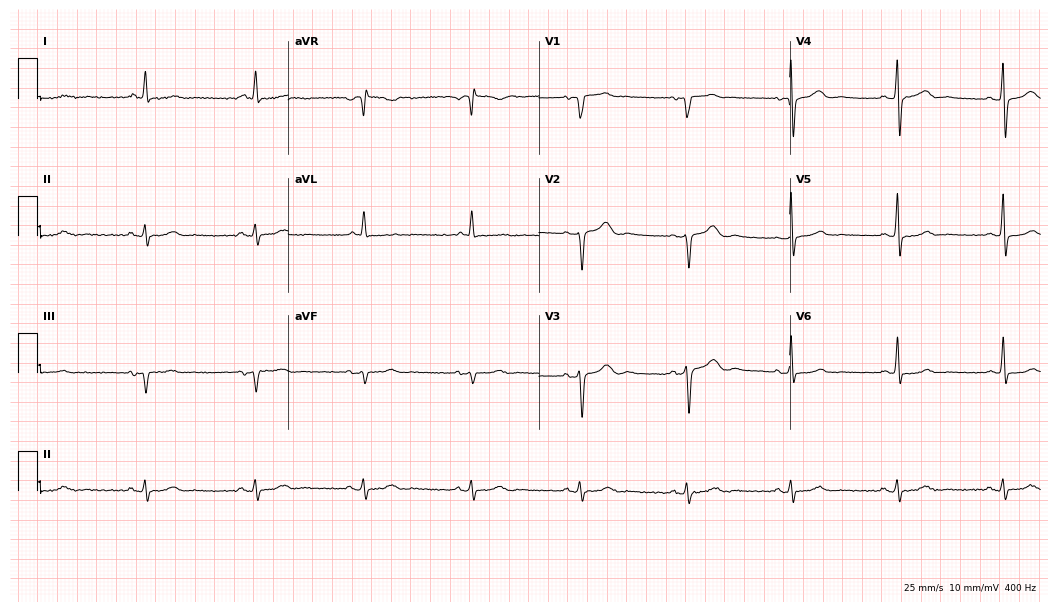
Resting 12-lead electrocardiogram (10.2-second recording at 400 Hz). Patient: a 63-year-old man. Read as a normal ECG.